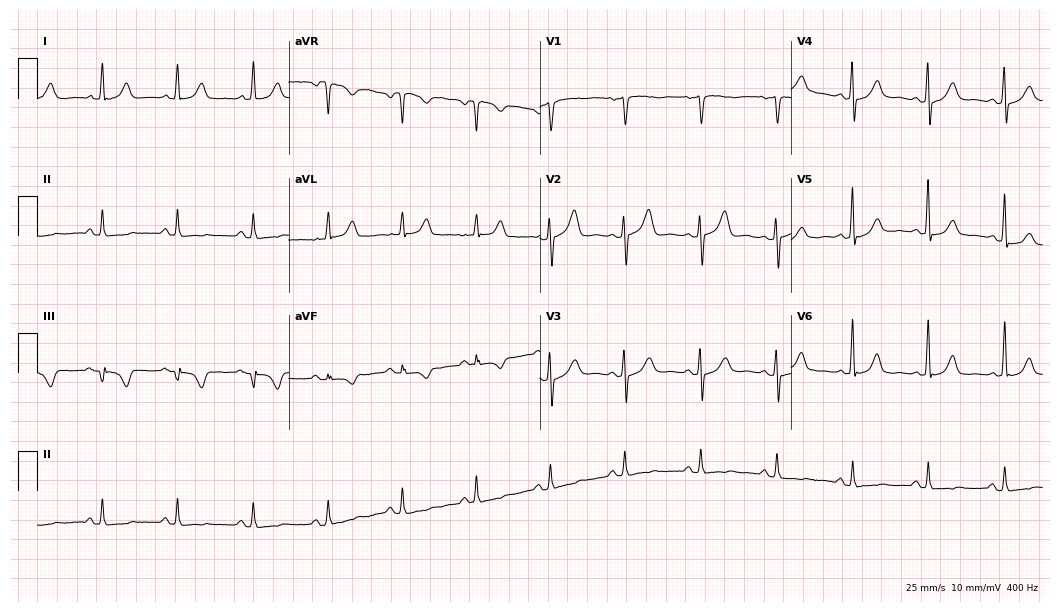
Resting 12-lead electrocardiogram (10.2-second recording at 400 Hz). Patient: a 64-year-old female. None of these six findings is recorded: first-degree AV block, right bundle branch block (RBBB), left bundle branch block (LBBB), sinus bradycardia, atrial fibrillation (AF), sinus tachycardia. Only these six findings were labelled.